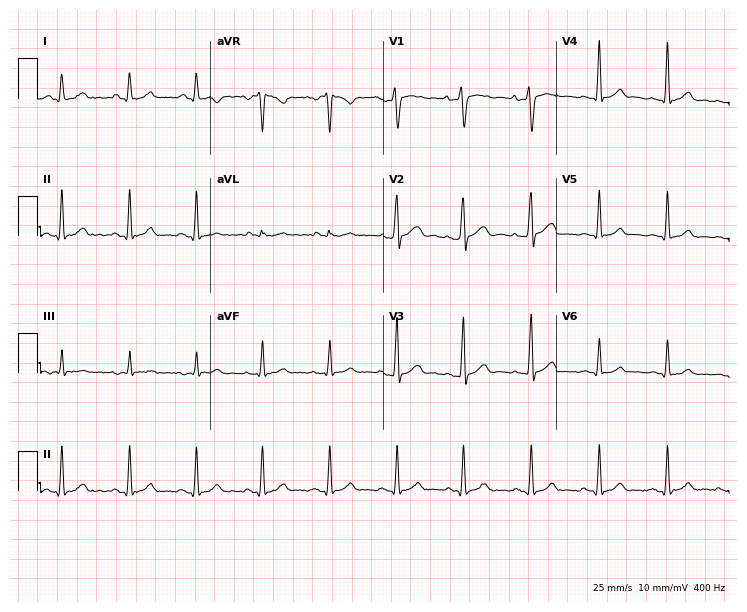
Resting 12-lead electrocardiogram. Patient: a 32-year-old male. None of these six findings is recorded: first-degree AV block, right bundle branch block (RBBB), left bundle branch block (LBBB), sinus bradycardia, atrial fibrillation (AF), sinus tachycardia.